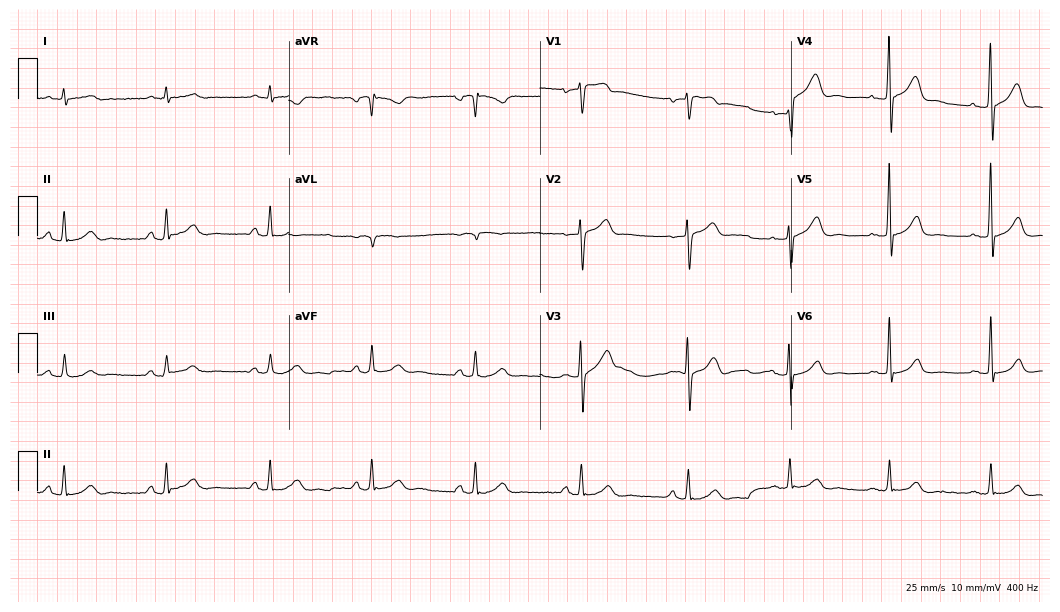
12-lead ECG from a male, 58 years old (10.2-second recording at 400 Hz). Recorded interpretation: within normal limits.